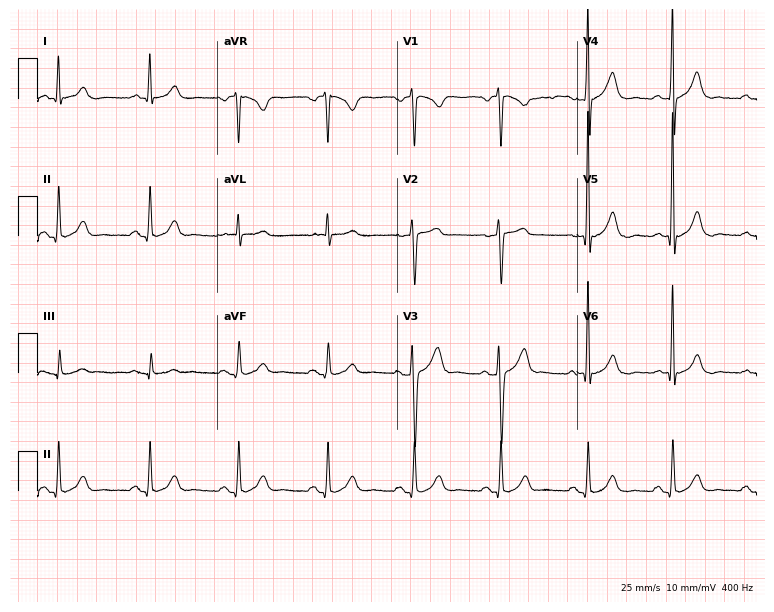
Electrocardiogram, a 48-year-old male. Overall reading on record: normal ECG.